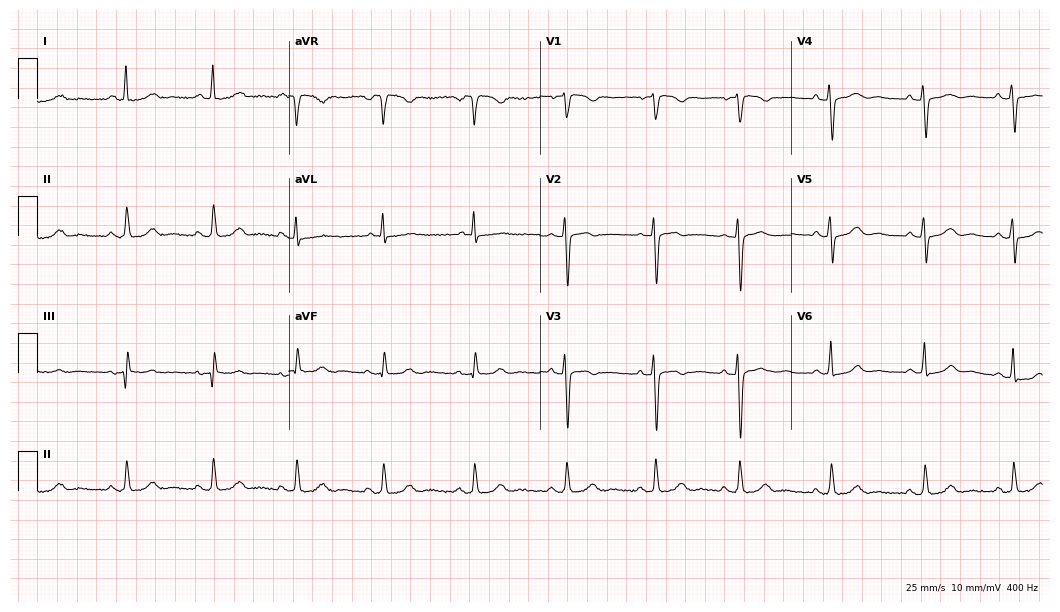
ECG (10.2-second recording at 400 Hz) — a woman, 67 years old. Screened for six findings — first-degree AV block, right bundle branch block, left bundle branch block, sinus bradycardia, atrial fibrillation, sinus tachycardia — none is recorded.